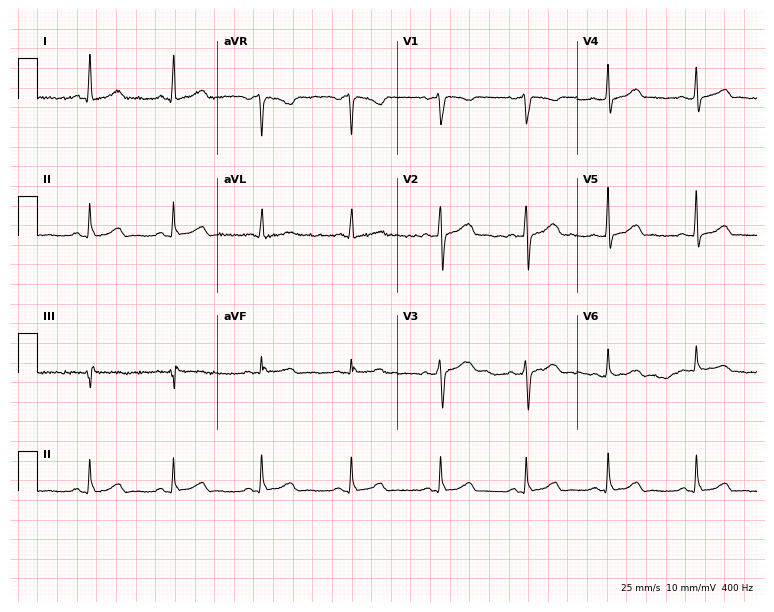
ECG — a 27-year-old woman. Labelled as a normal ECG.